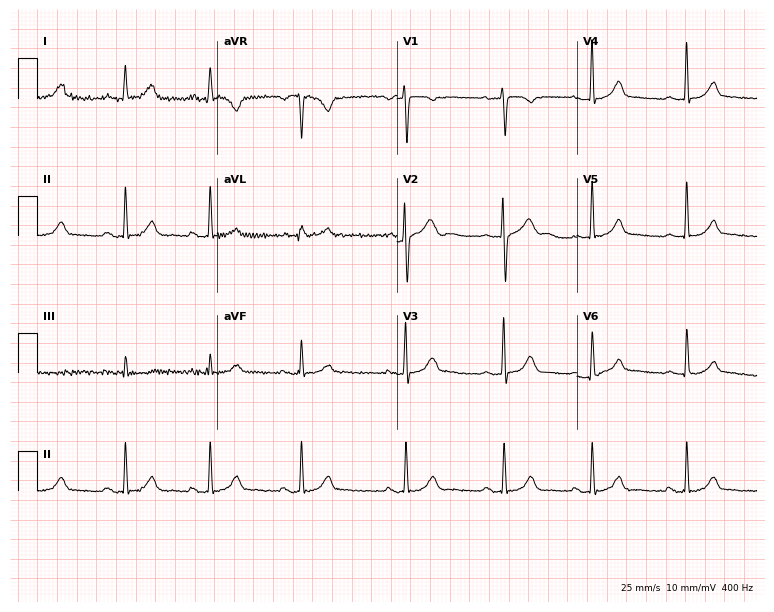
12-lead ECG from a 24-year-old female. Labelled as a normal ECG.